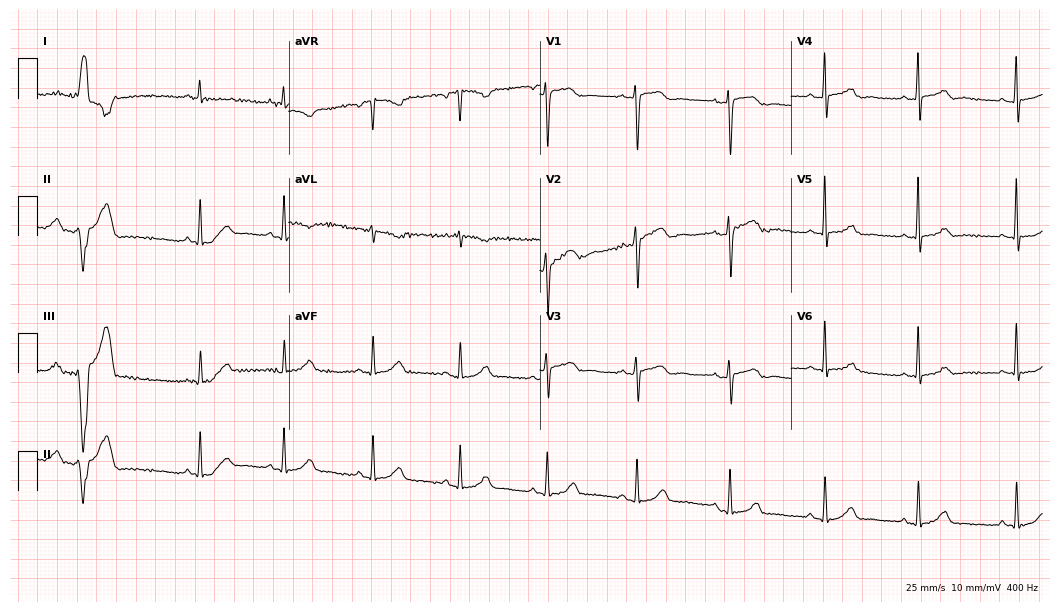
Resting 12-lead electrocardiogram (10.2-second recording at 400 Hz). Patient: a 67-year-old female. Read as a normal ECG.